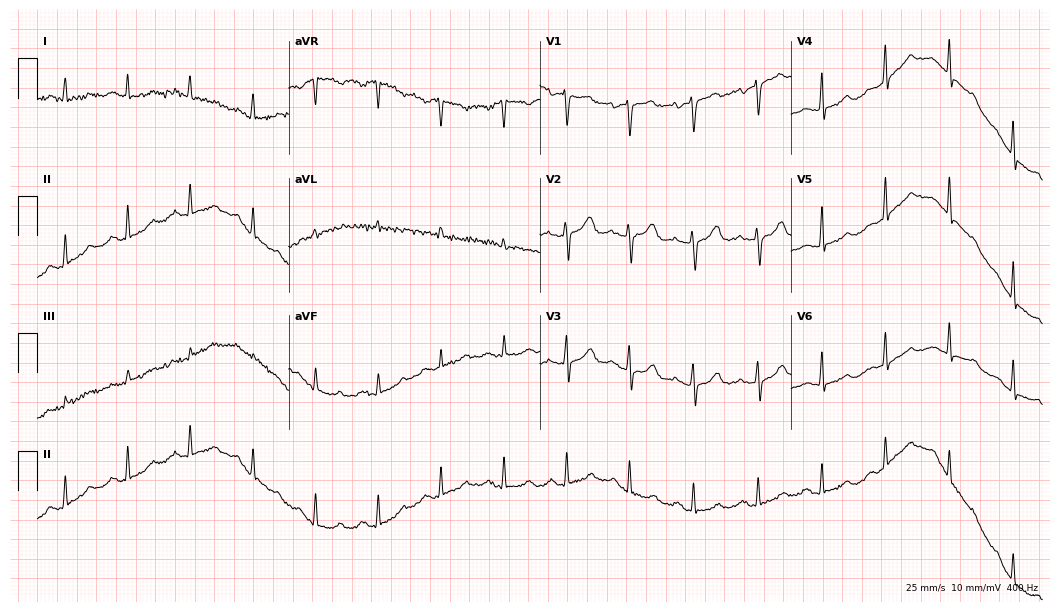
12-lead ECG from a female patient, 59 years old. No first-degree AV block, right bundle branch block (RBBB), left bundle branch block (LBBB), sinus bradycardia, atrial fibrillation (AF) or sinus tachycardia recorded for this tracing.